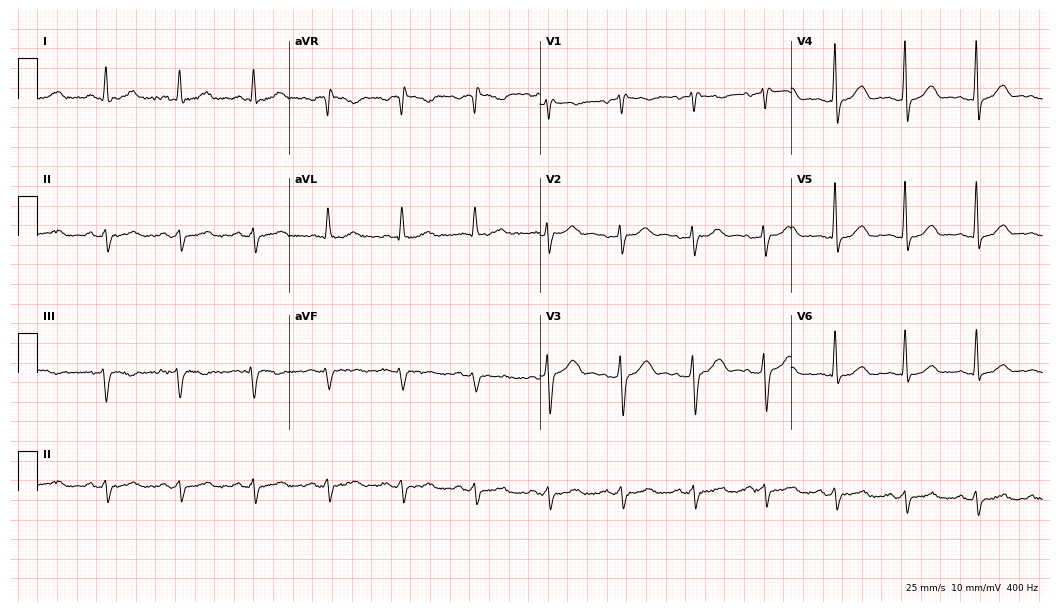
ECG — a 58-year-old male. Screened for six findings — first-degree AV block, right bundle branch block (RBBB), left bundle branch block (LBBB), sinus bradycardia, atrial fibrillation (AF), sinus tachycardia — none is recorded.